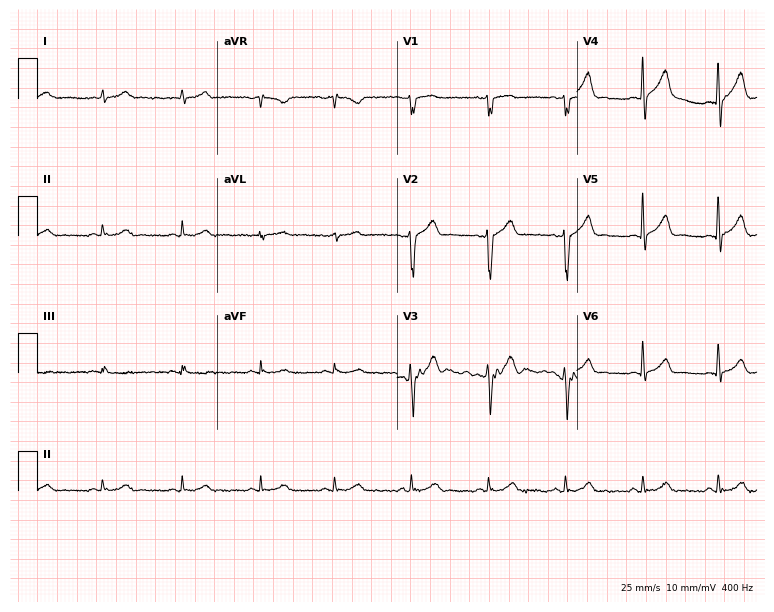
Electrocardiogram, a man, 47 years old. Of the six screened findings (first-degree AV block, right bundle branch block, left bundle branch block, sinus bradycardia, atrial fibrillation, sinus tachycardia), none is recorded.